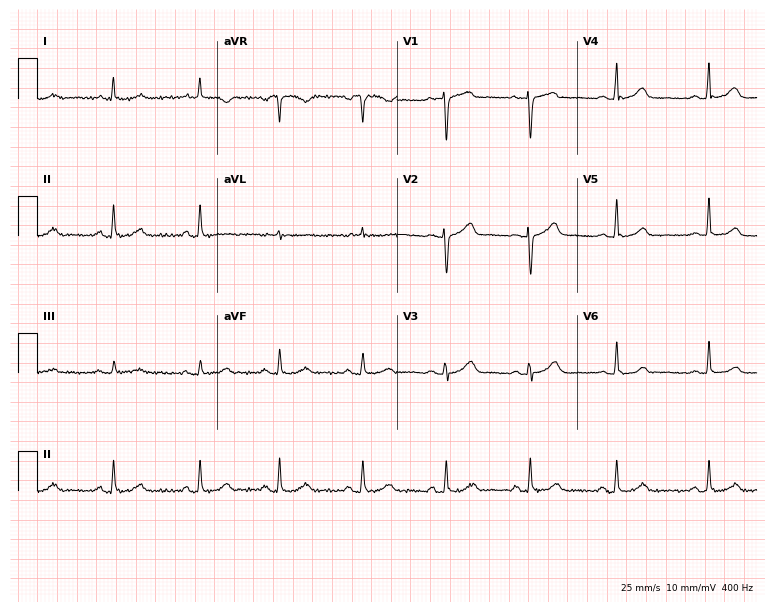
Electrocardiogram (7.3-second recording at 400 Hz), a 50-year-old female patient. Overall reading on record: normal ECG.